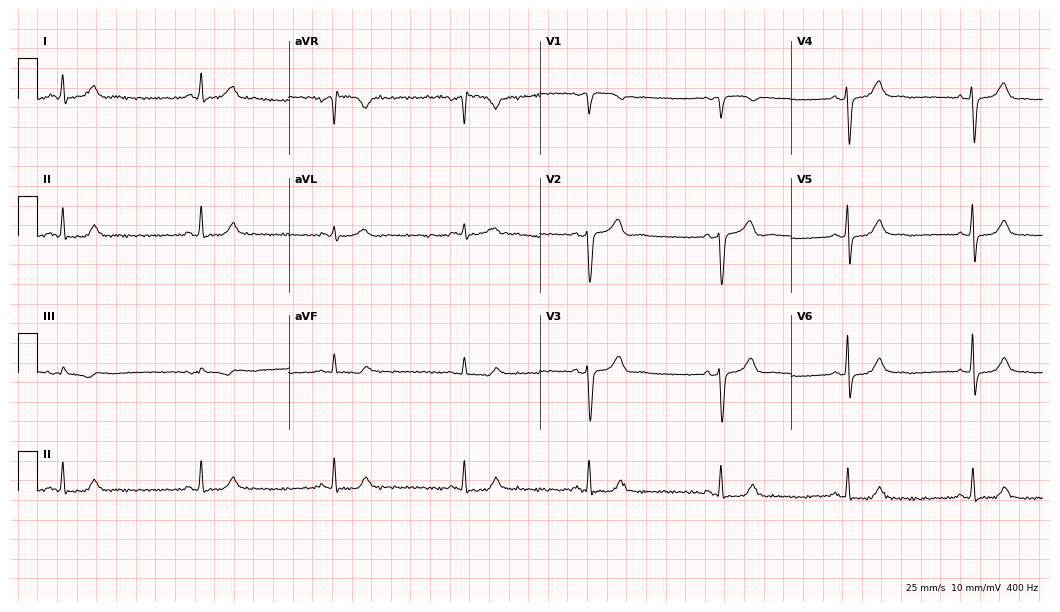
ECG (10.2-second recording at 400 Hz) — a male patient, 50 years old. Findings include sinus bradycardia (a sinus rate of 50 beats per minute or less).